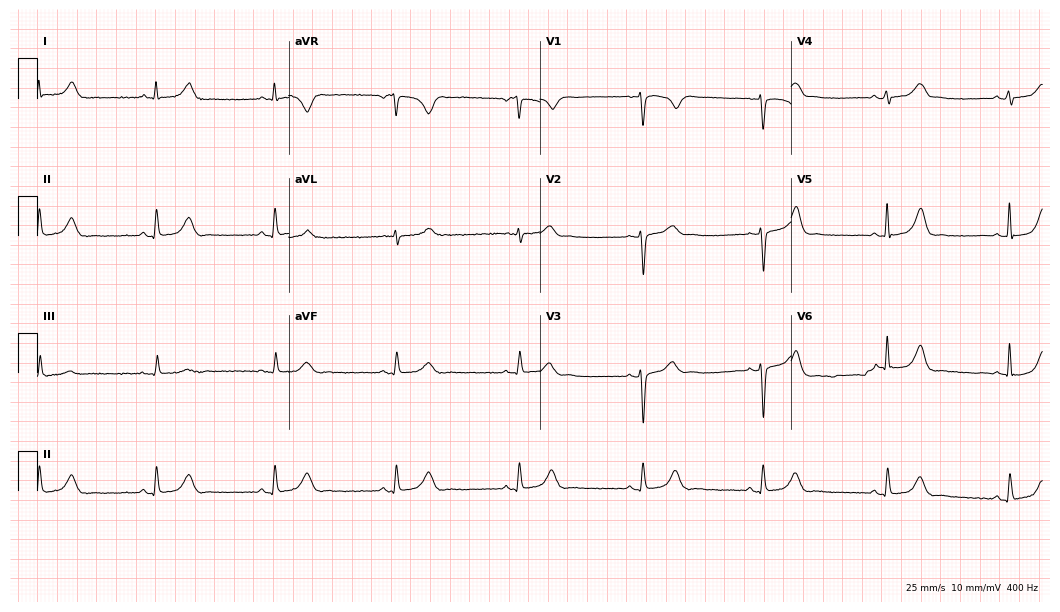
12-lead ECG from a female patient, 44 years old. No first-degree AV block, right bundle branch block (RBBB), left bundle branch block (LBBB), sinus bradycardia, atrial fibrillation (AF) or sinus tachycardia recorded for this tracing. Findings outside these six are not listed.